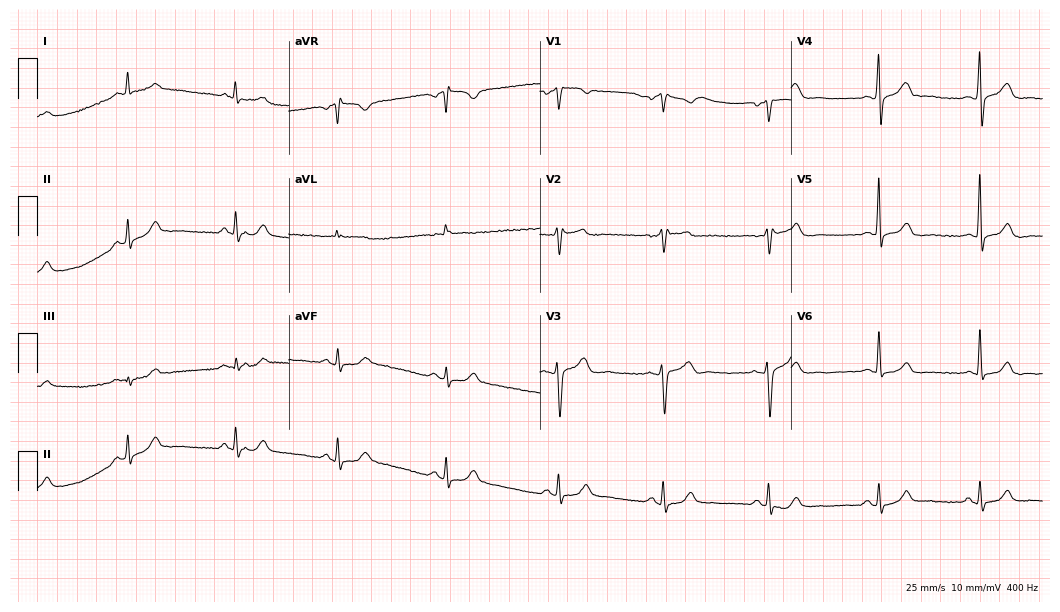
Standard 12-lead ECG recorded from a 51-year-old male (10.2-second recording at 400 Hz). Read as a normal ECG.